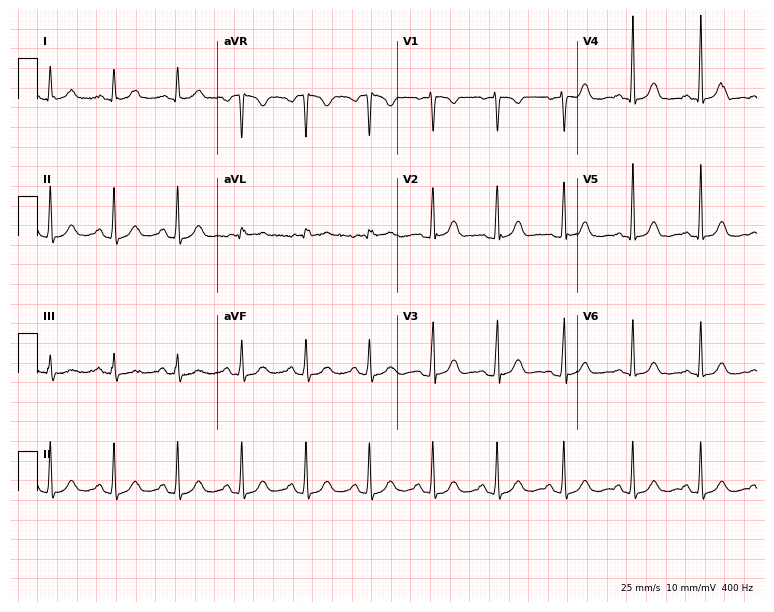
ECG (7.3-second recording at 400 Hz) — a 53-year-old woman. Screened for six findings — first-degree AV block, right bundle branch block, left bundle branch block, sinus bradycardia, atrial fibrillation, sinus tachycardia — none is recorded.